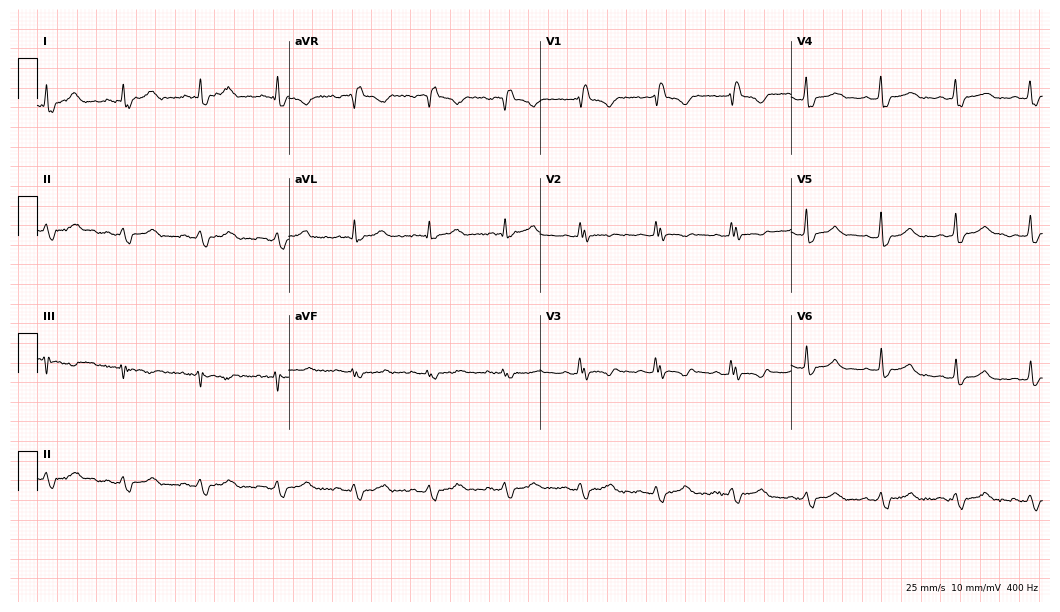
12-lead ECG from a female, 40 years old. Screened for six findings — first-degree AV block, right bundle branch block, left bundle branch block, sinus bradycardia, atrial fibrillation, sinus tachycardia — none is recorded.